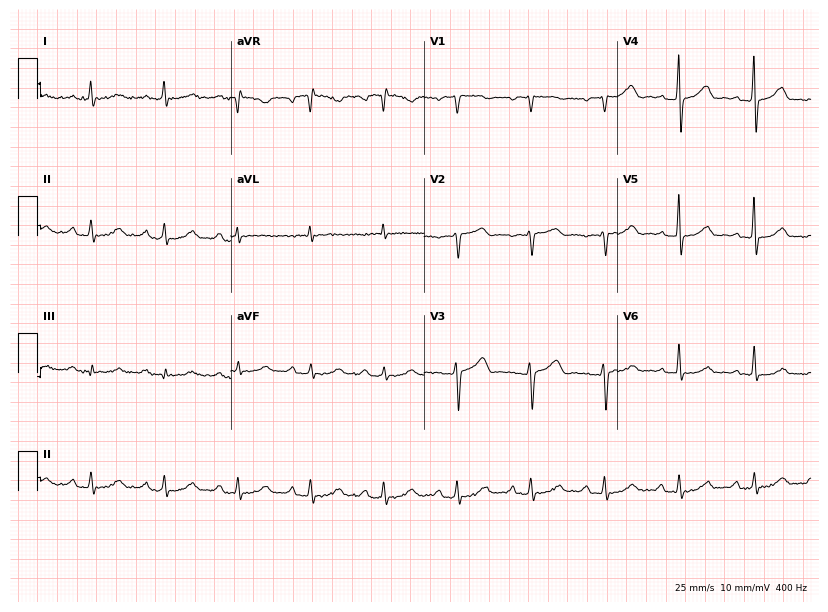
Resting 12-lead electrocardiogram. Patient: a 72-year-old female. None of these six findings is recorded: first-degree AV block, right bundle branch block, left bundle branch block, sinus bradycardia, atrial fibrillation, sinus tachycardia.